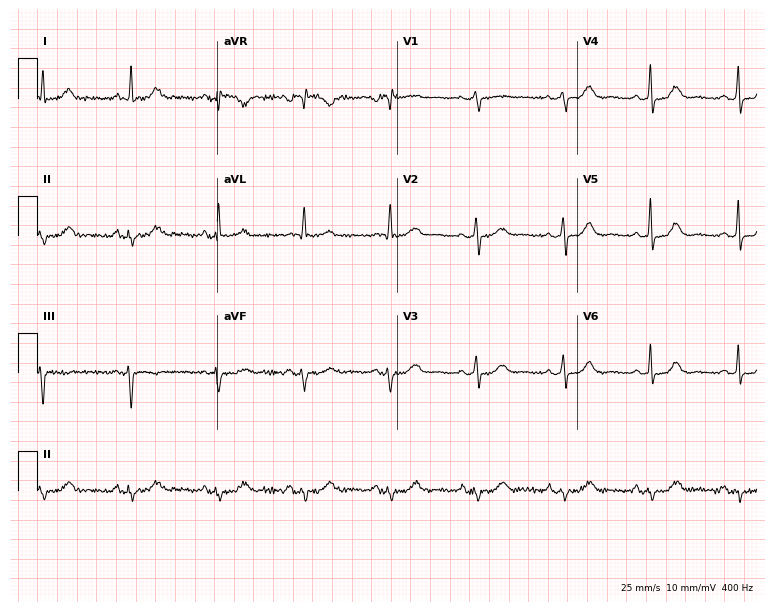
Resting 12-lead electrocardiogram (7.3-second recording at 400 Hz). Patient: a woman, 74 years old. Read as a normal ECG.